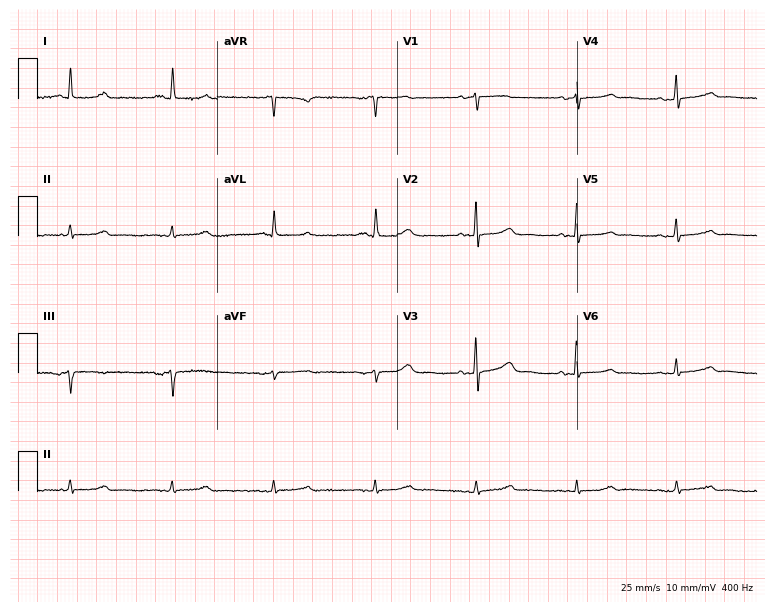
12-lead ECG from a 72-year-old woman. Labelled as a normal ECG.